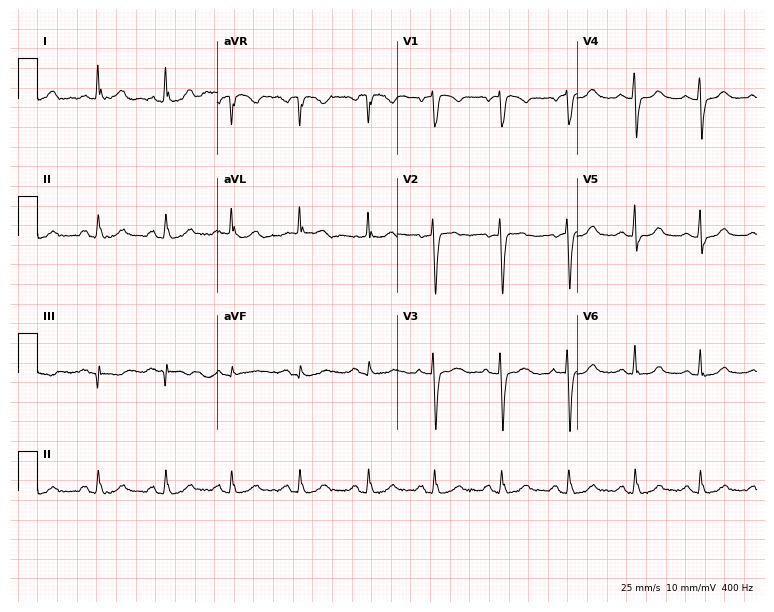
Standard 12-lead ECG recorded from an 80-year-old woman. None of these six findings is recorded: first-degree AV block, right bundle branch block (RBBB), left bundle branch block (LBBB), sinus bradycardia, atrial fibrillation (AF), sinus tachycardia.